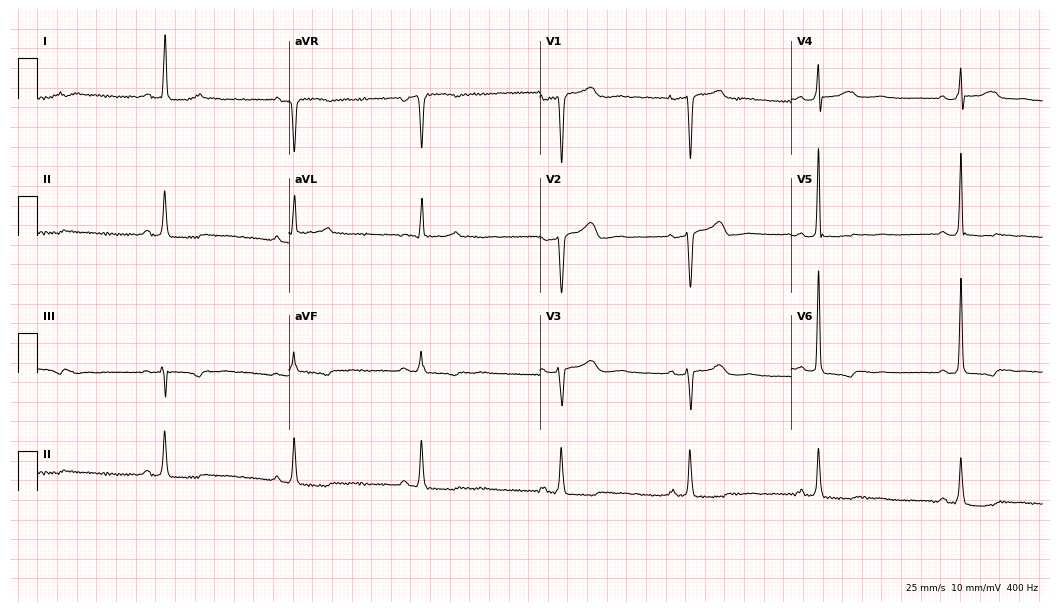
Standard 12-lead ECG recorded from a 49-year-old female (10.2-second recording at 400 Hz). The tracing shows sinus bradycardia (a sinus rate of 50 beats per minute or less).